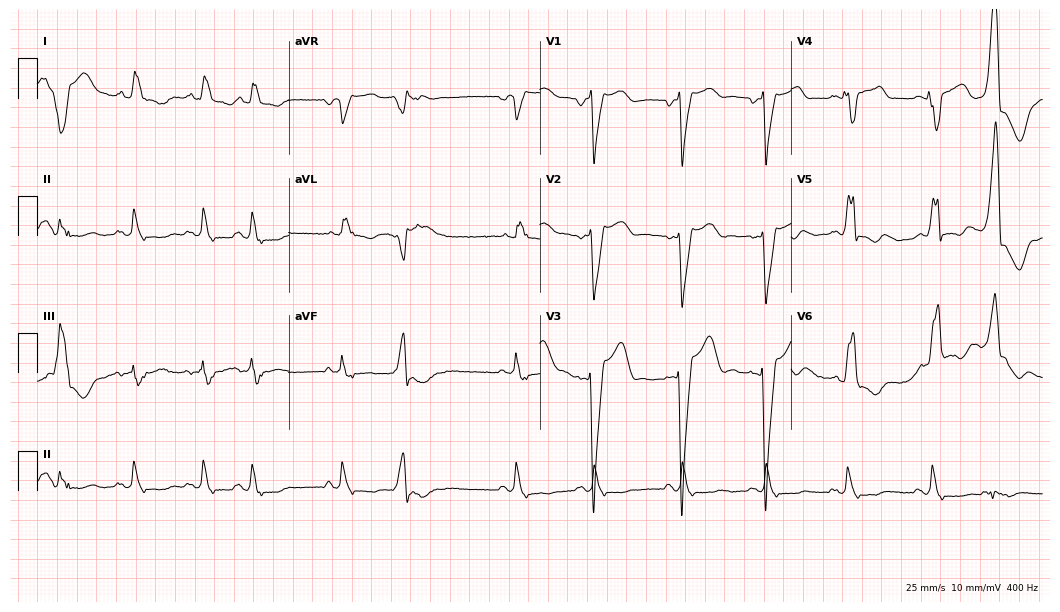
12-lead ECG from a 74-year-old woman. Findings include left bundle branch block.